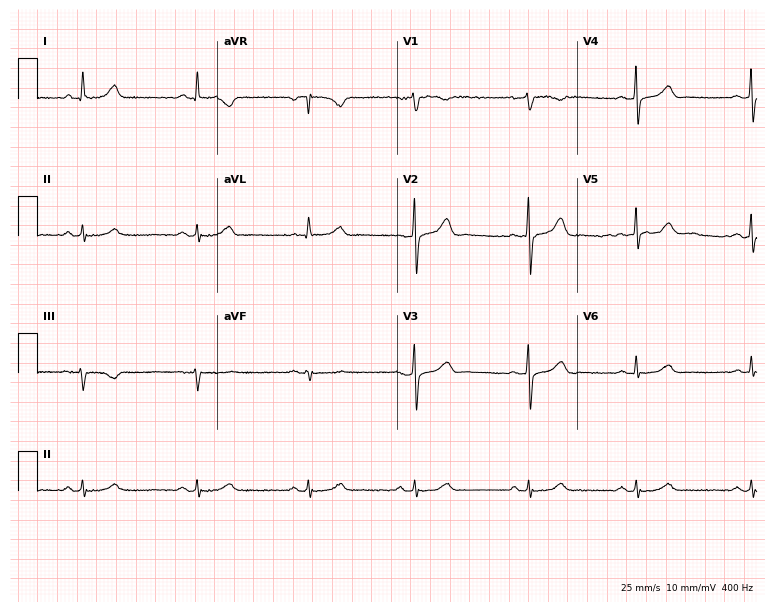
ECG (7.3-second recording at 400 Hz) — a female, 52 years old. Labelled as a normal ECG.